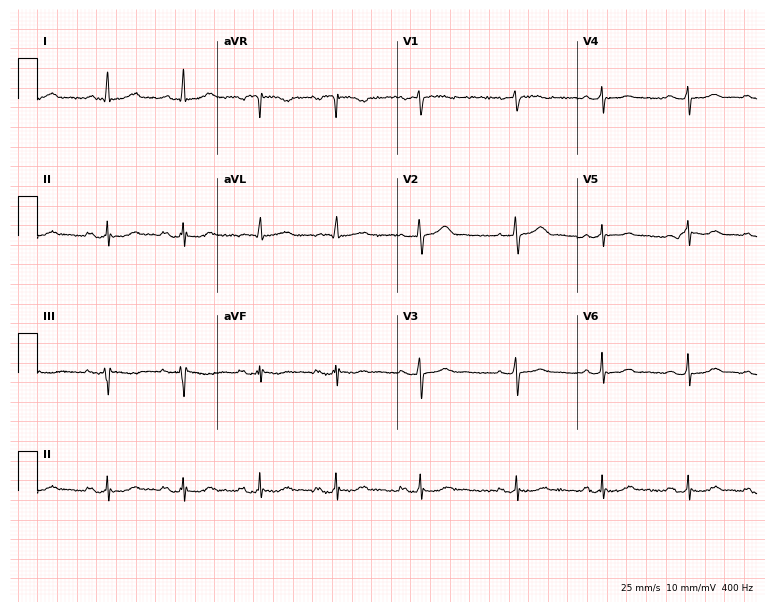
Resting 12-lead electrocardiogram (7.3-second recording at 400 Hz). Patient: a 68-year-old female. None of these six findings is recorded: first-degree AV block, right bundle branch block, left bundle branch block, sinus bradycardia, atrial fibrillation, sinus tachycardia.